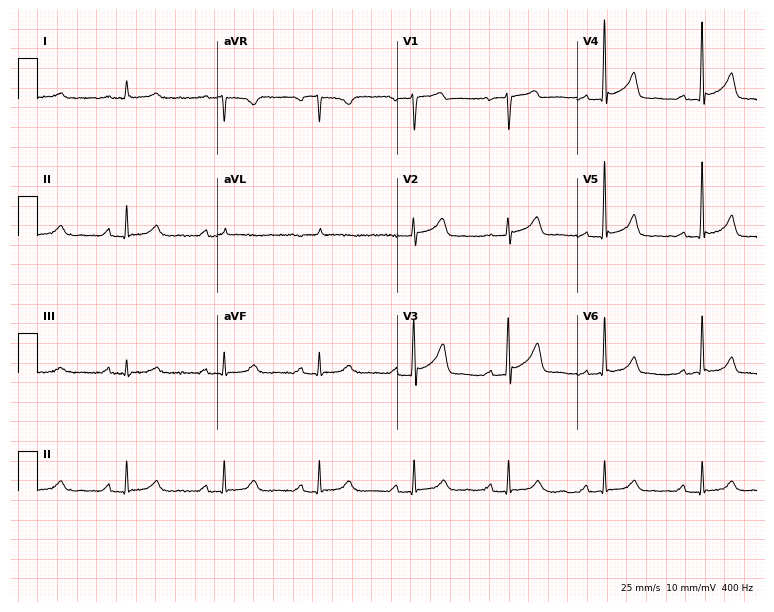
Resting 12-lead electrocardiogram. Patient: a 75-year-old male. Read as a normal ECG.